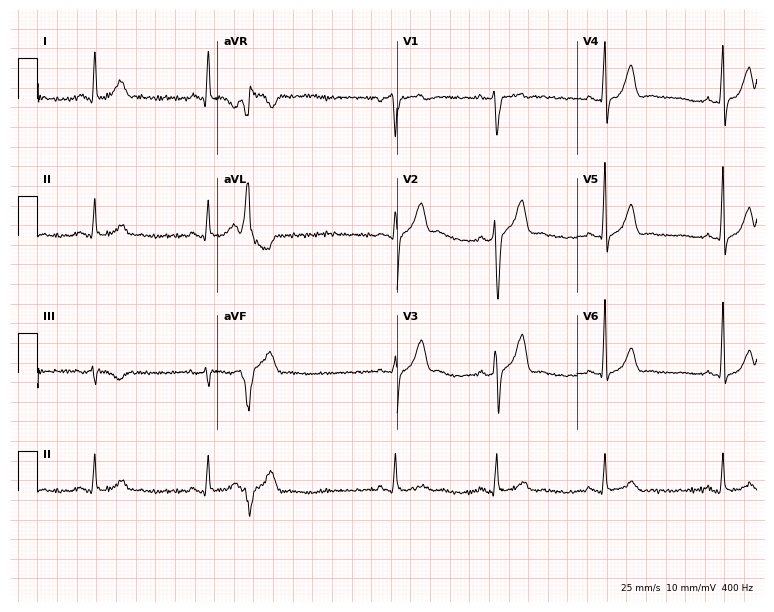
Standard 12-lead ECG recorded from a 41-year-old male patient (7.3-second recording at 400 Hz). None of these six findings is recorded: first-degree AV block, right bundle branch block (RBBB), left bundle branch block (LBBB), sinus bradycardia, atrial fibrillation (AF), sinus tachycardia. Only these six findings were labelled.